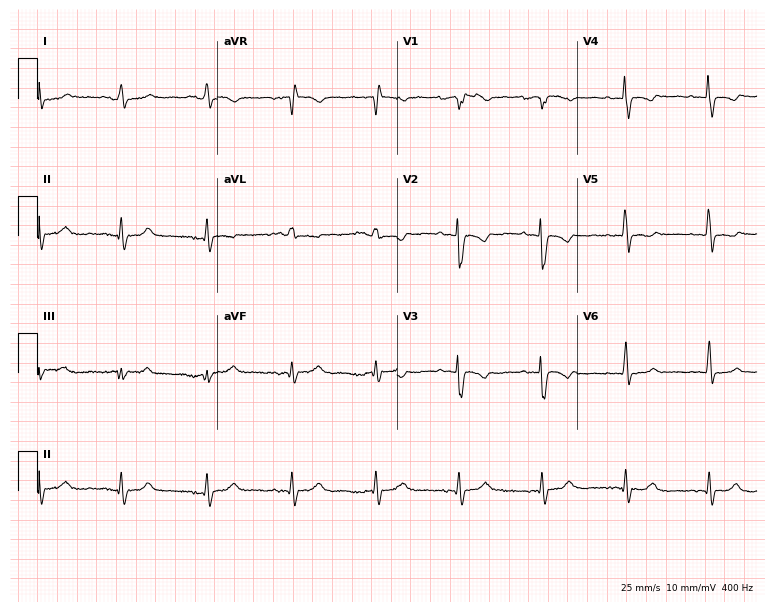
Standard 12-lead ECG recorded from a woman, 27 years old. None of these six findings is recorded: first-degree AV block, right bundle branch block (RBBB), left bundle branch block (LBBB), sinus bradycardia, atrial fibrillation (AF), sinus tachycardia. Only these six findings were labelled.